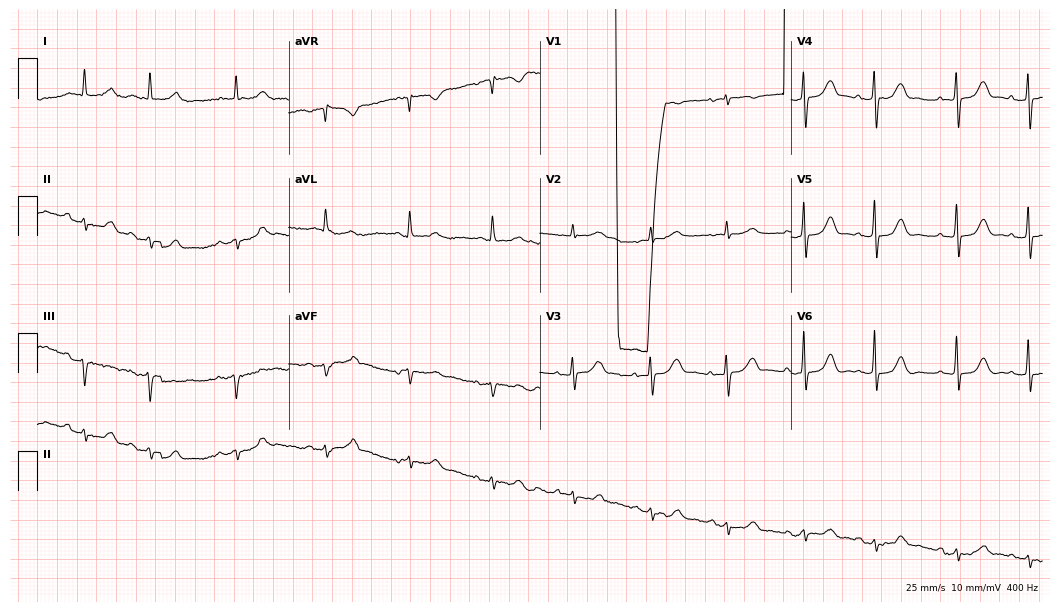
Resting 12-lead electrocardiogram (10.2-second recording at 400 Hz). Patient: a female, 64 years old. None of these six findings is recorded: first-degree AV block, right bundle branch block, left bundle branch block, sinus bradycardia, atrial fibrillation, sinus tachycardia. Findings outside these six are not listed.